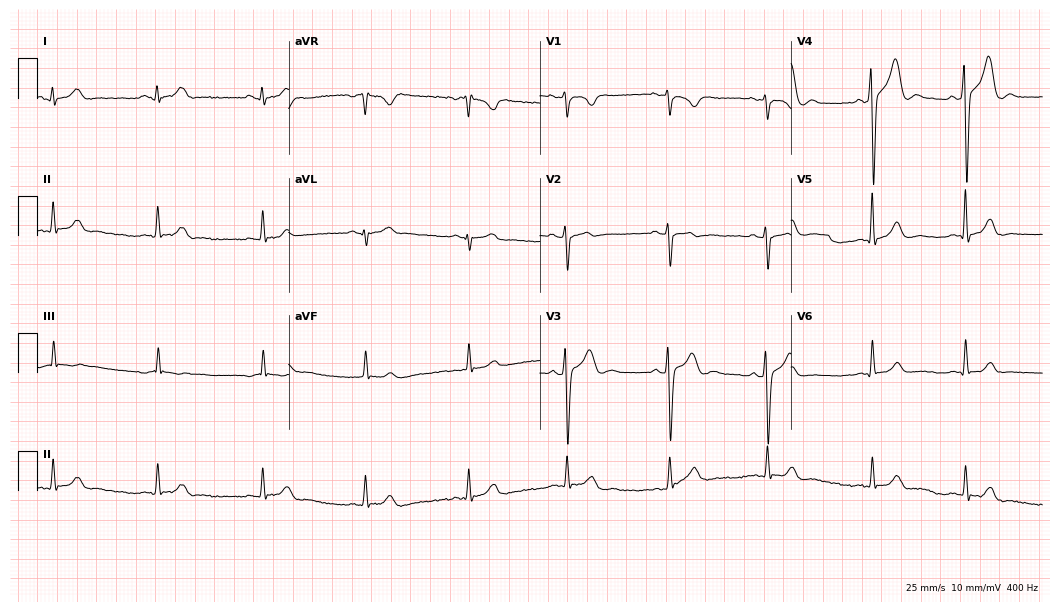
Standard 12-lead ECG recorded from a man, 20 years old. None of these six findings is recorded: first-degree AV block, right bundle branch block (RBBB), left bundle branch block (LBBB), sinus bradycardia, atrial fibrillation (AF), sinus tachycardia.